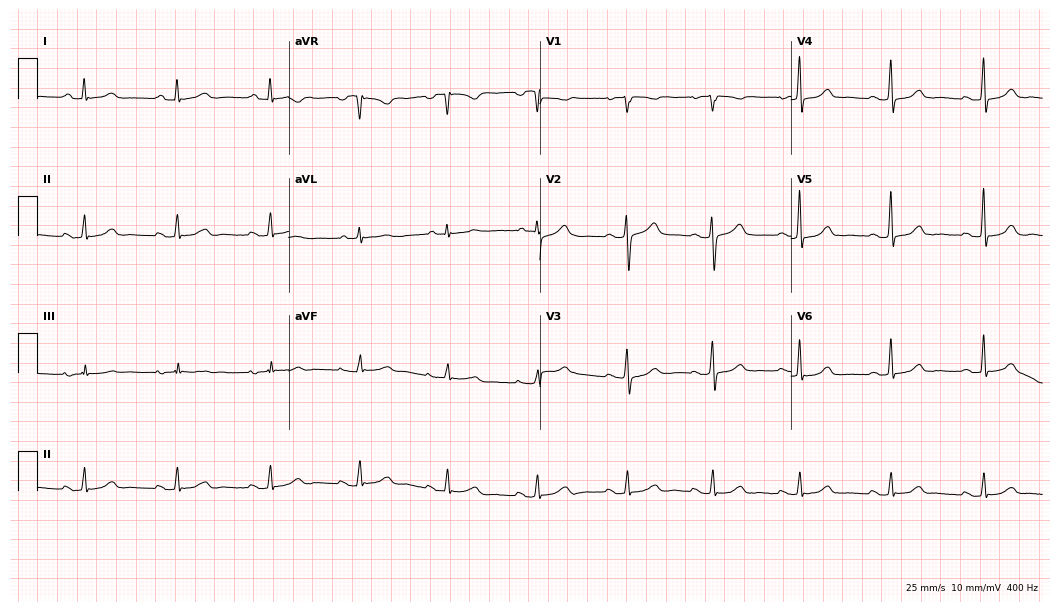
ECG (10.2-second recording at 400 Hz) — a female patient, 43 years old. Labelled as a normal ECG.